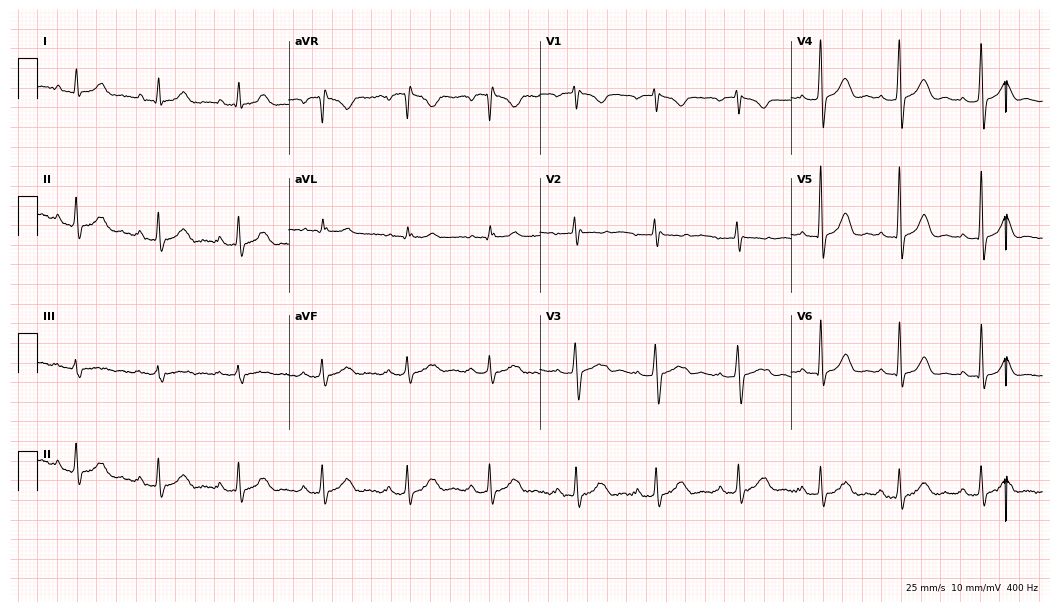
12-lead ECG from a female patient, 27 years old. Screened for six findings — first-degree AV block, right bundle branch block (RBBB), left bundle branch block (LBBB), sinus bradycardia, atrial fibrillation (AF), sinus tachycardia — none is recorded. Findings outside these six are not listed.